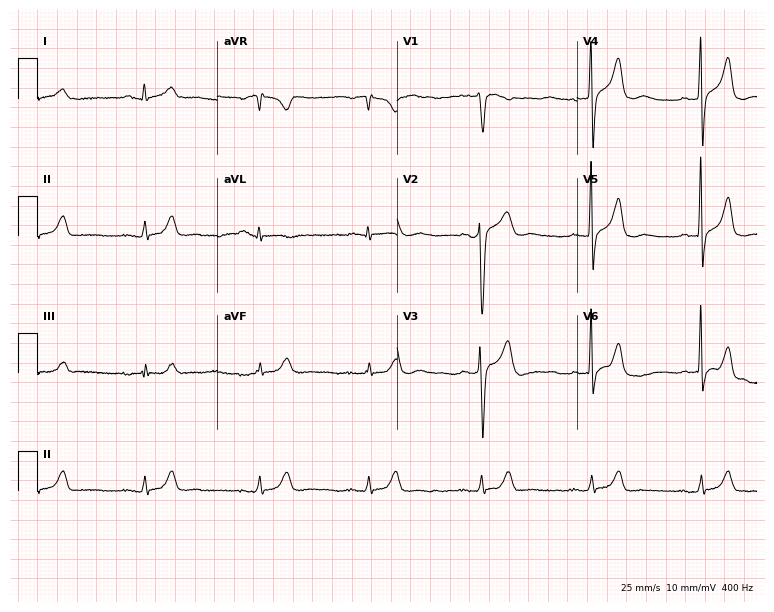
ECG (7.3-second recording at 400 Hz) — a 32-year-old man. Labelled as a normal ECG.